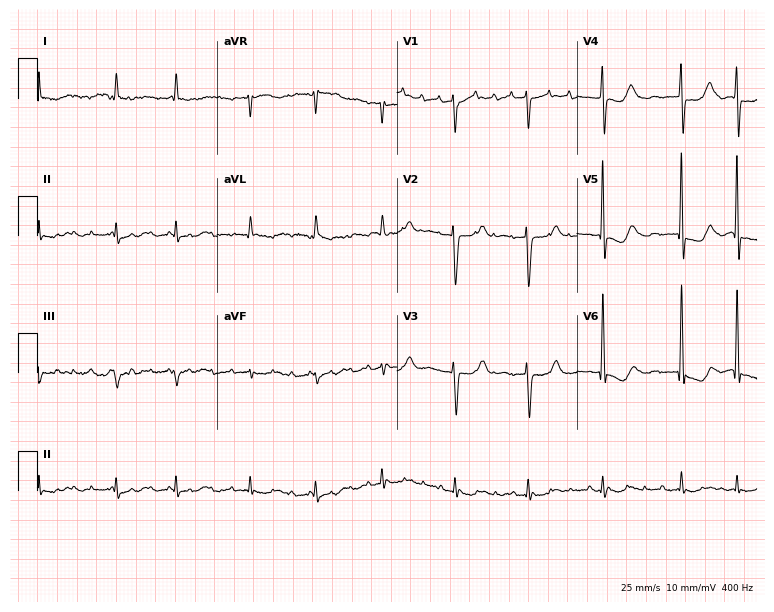
Electrocardiogram (7.3-second recording at 400 Hz), a male patient, 70 years old. Interpretation includes atrial fibrillation.